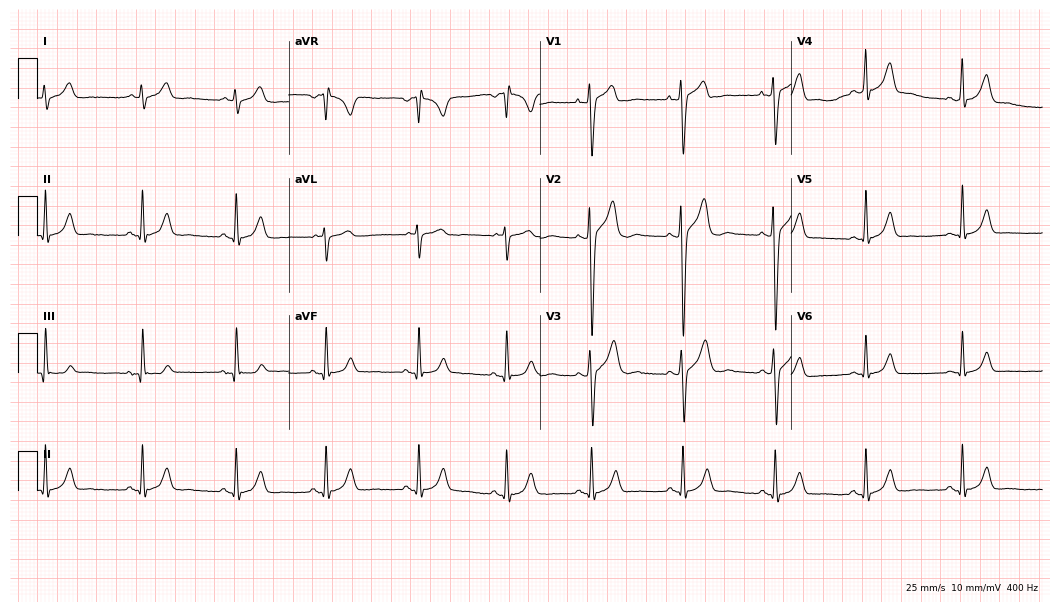
ECG (10.2-second recording at 400 Hz) — an 18-year-old male patient. Labelled as a normal ECG.